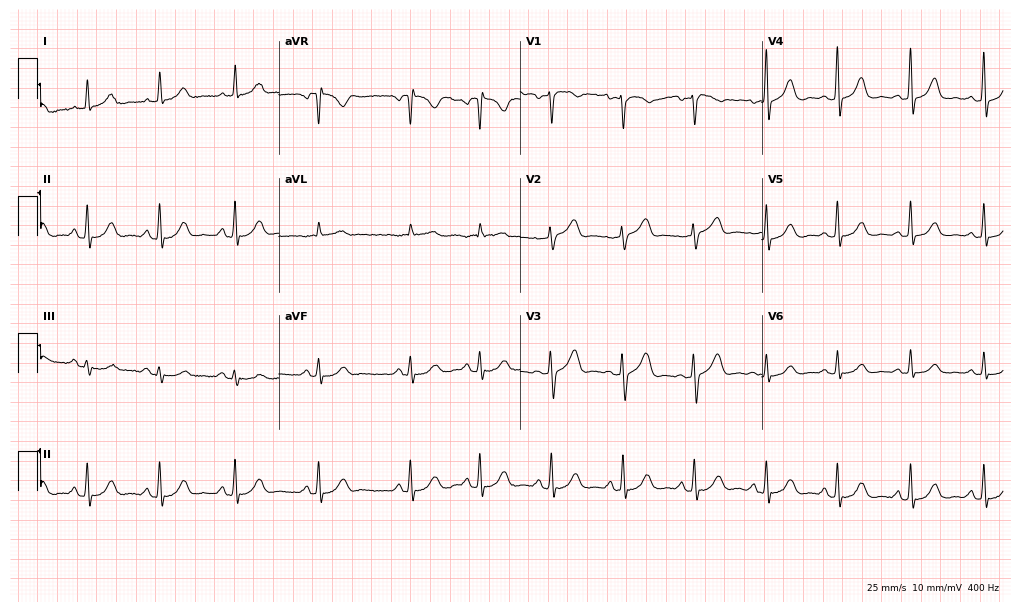
Electrocardiogram (9.8-second recording at 400 Hz), a 58-year-old woman. Overall reading on record: normal ECG.